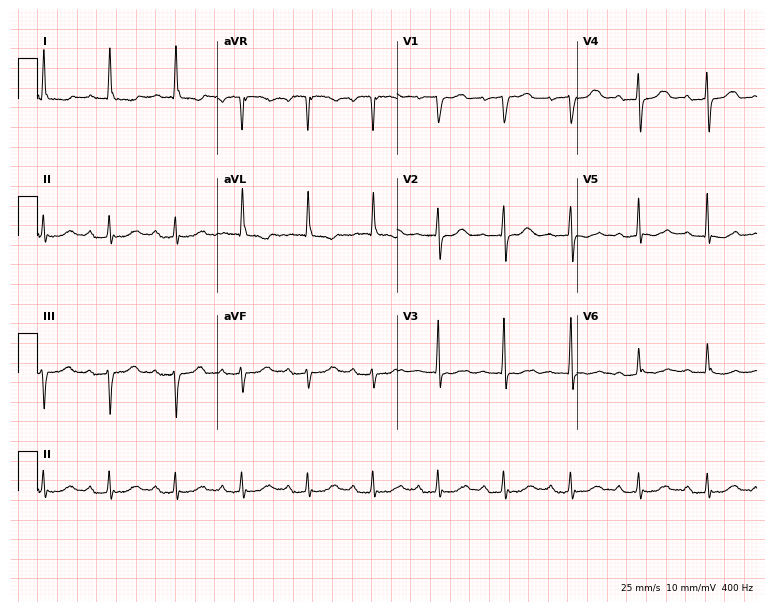
Resting 12-lead electrocardiogram. Patient: a 79-year-old female. None of these six findings is recorded: first-degree AV block, right bundle branch block, left bundle branch block, sinus bradycardia, atrial fibrillation, sinus tachycardia.